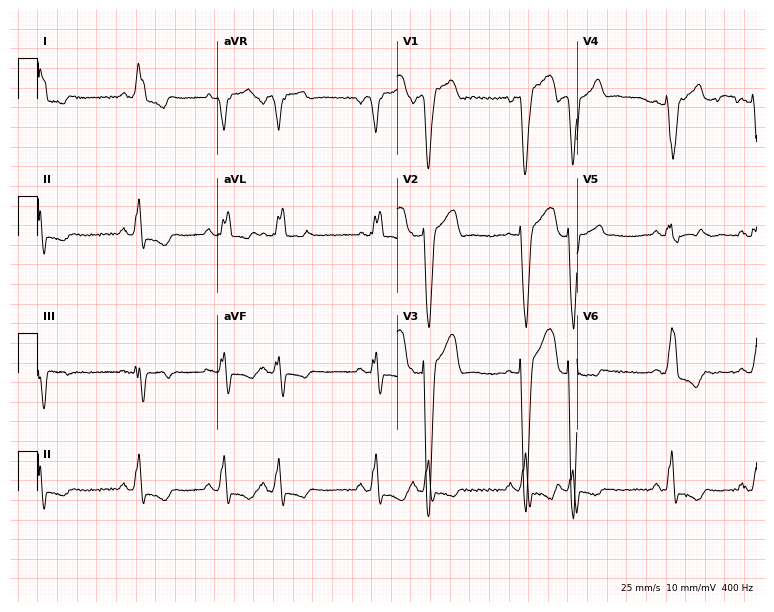
ECG (7.3-second recording at 400 Hz) — a 70-year-old male patient. Findings include left bundle branch block (LBBB).